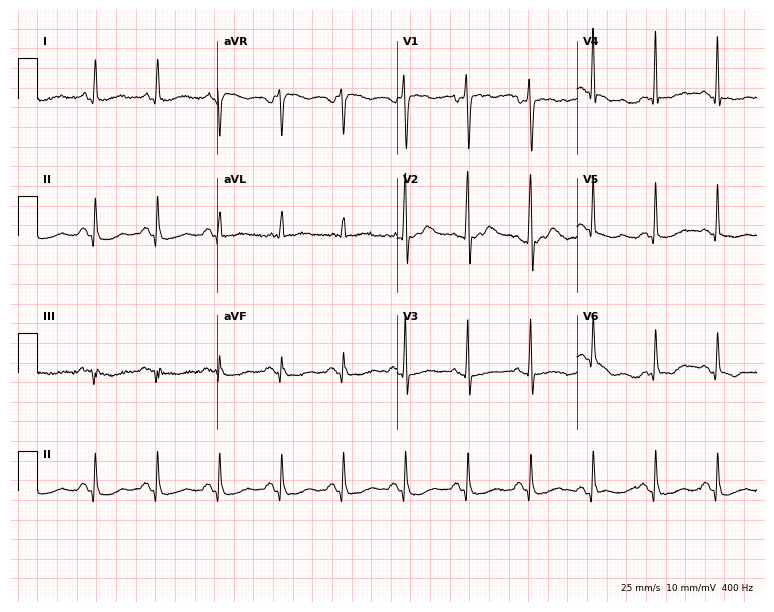
Standard 12-lead ECG recorded from a woman, 44 years old. None of these six findings is recorded: first-degree AV block, right bundle branch block, left bundle branch block, sinus bradycardia, atrial fibrillation, sinus tachycardia.